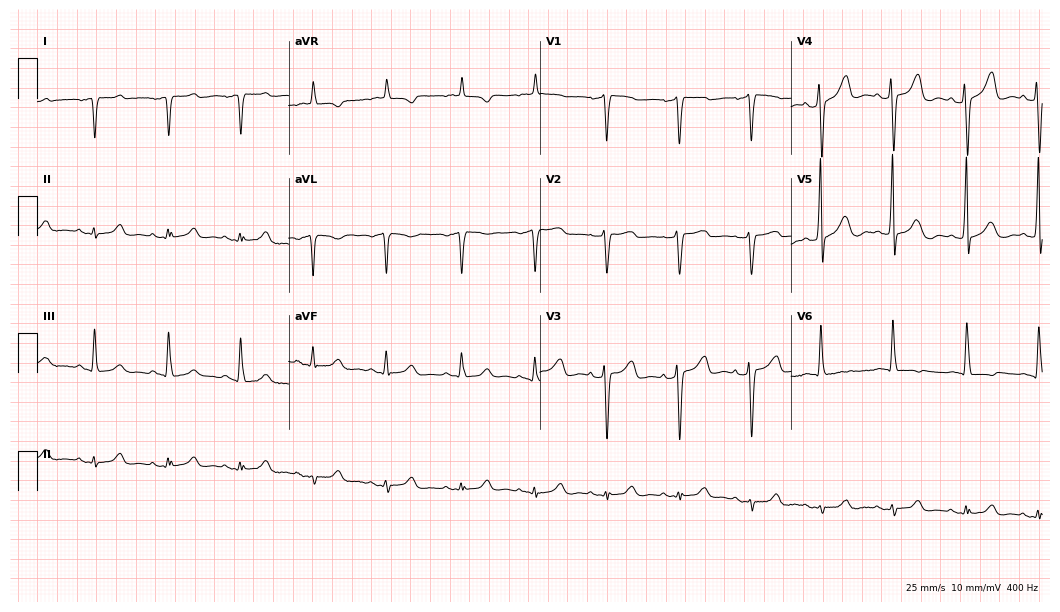
12-lead ECG from a female, 58 years old (10.2-second recording at 400 Hz). No first-degree AV block, right bundle branch block, left bundle branch block, sinus bradycardia, atrial fibrillation or sinus tachycardia recorded for this tracing. Other findings, if any, are not listed.